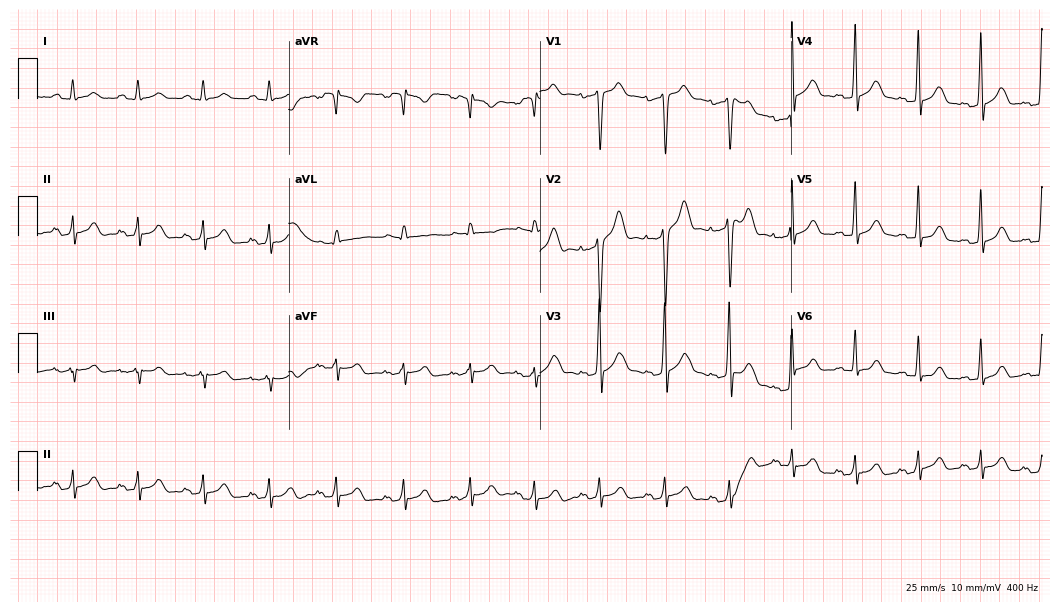
12-lead ECG from a male patient, 44 years old. No first-degree AV block, right bundle branch block, left bundle branch block, sinus bradycardia, atrial fibrillation or sinus tachycardia recorded for this tracing.